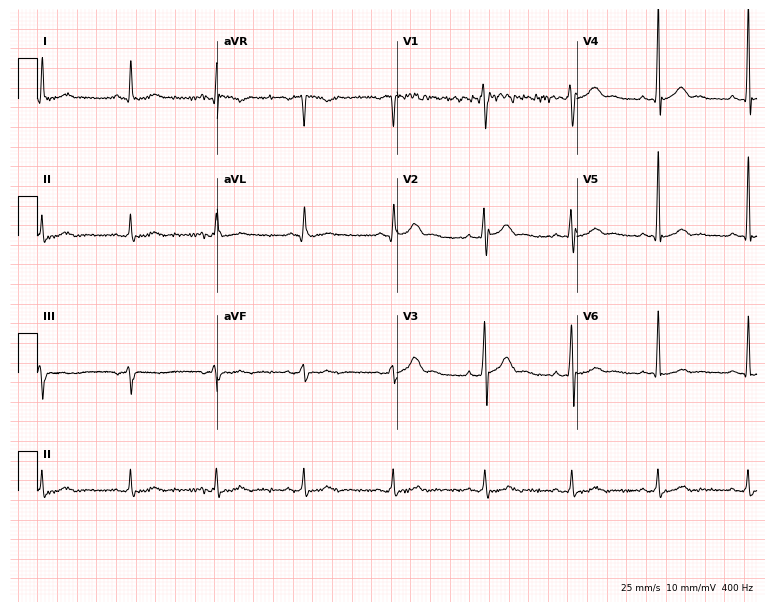
Standard 12-lead ECG recorded from a 48-year-old man. Read as a normal ECG.